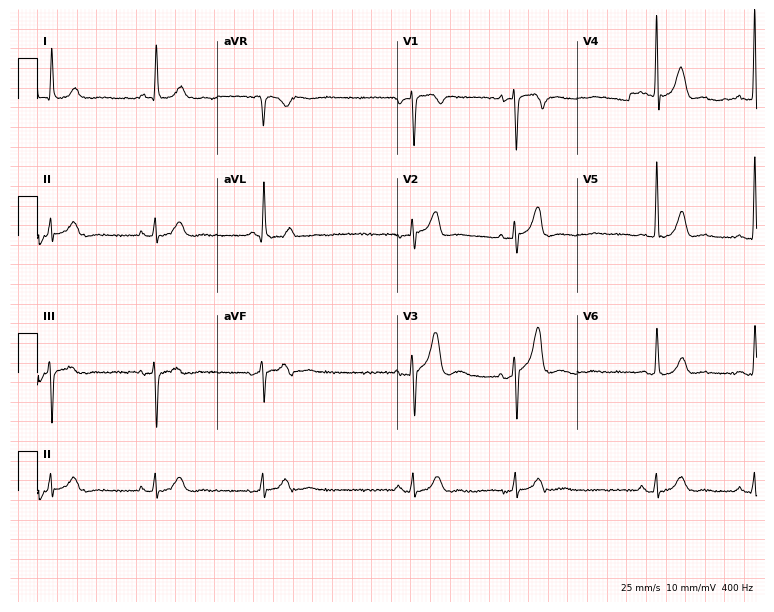
Electrocardiogram (7.3-second recording at 400 Hz), a 77-year-old man. Of the six screened findings (first-degree AV block, right bundle branch block, left bundle branch block, sinus bradycardia, atrial fibrillation, sinus tachycardia), none is recorded. Only these six findings were labelled.